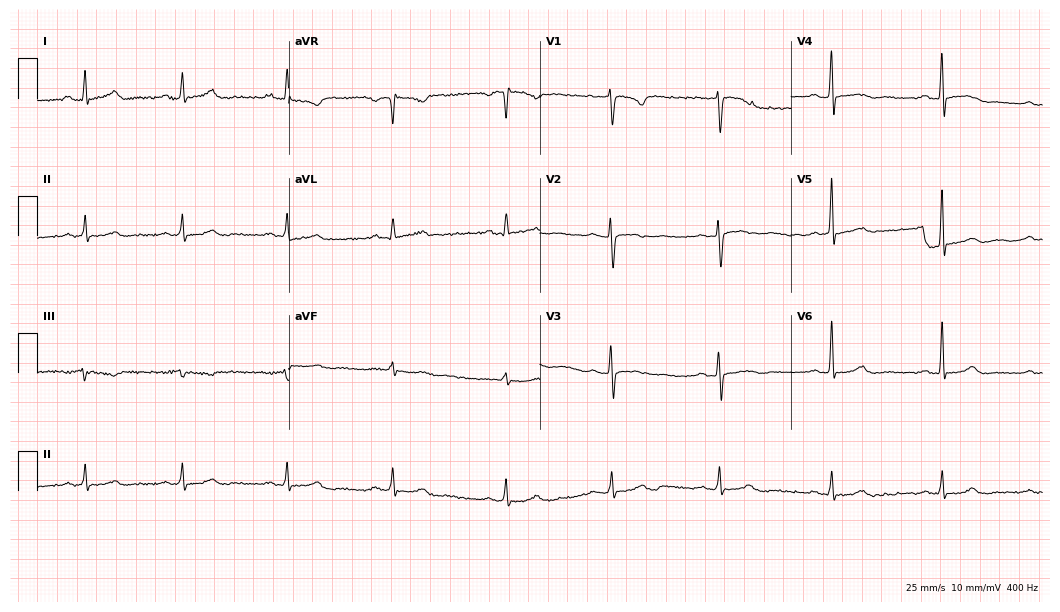
12-lead ECG (10.2-second recording at 400 Hz) from a woman, 36 years old. Labelled as a normal ECG.